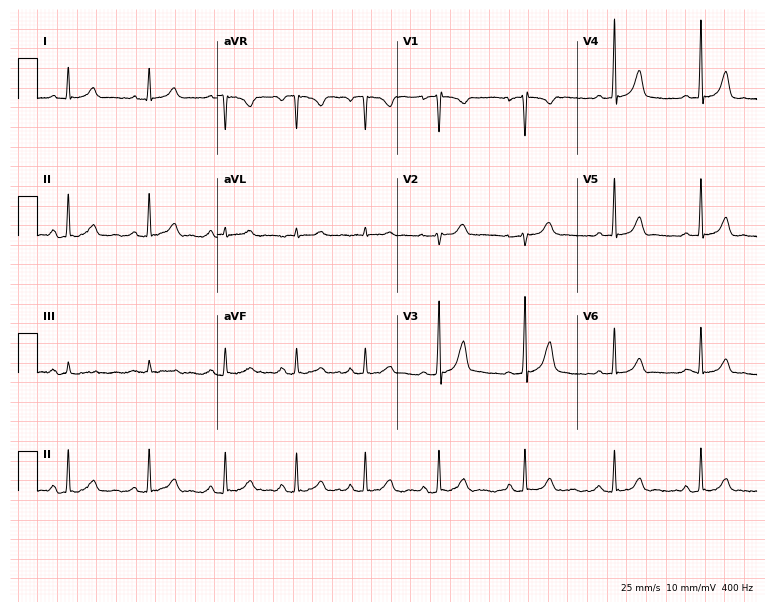
Electrocardiogram, a 23-year-old woman. Overall reading on record: normal ECG.